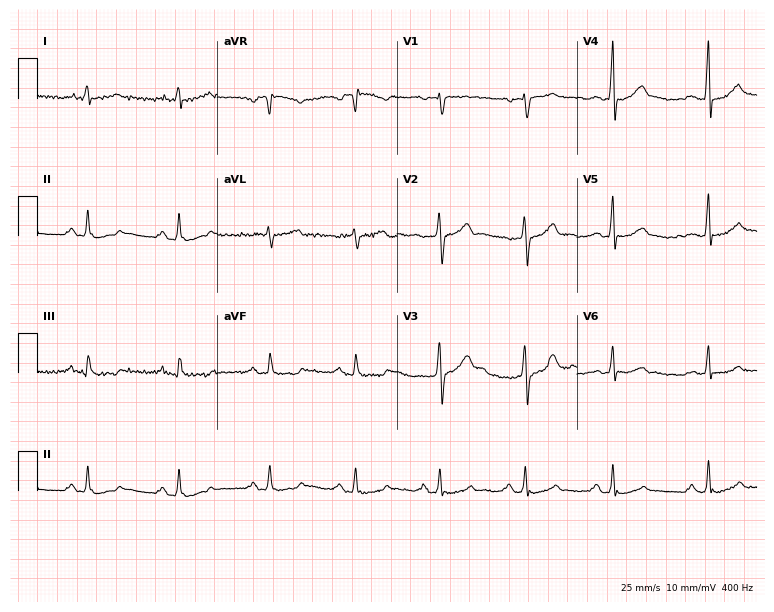
12-lead ECG (7.3-second recording at 400 Hz) from a male, 55 years old. Screened for six findings — first-degree AV block, right bundle branch block (RBBB), left bundle branch block (LBBB), sinus bradycardia, atrial fibrillation (AF), sinus tachycardia — none is recorded. Other findings, if any, are not listed.